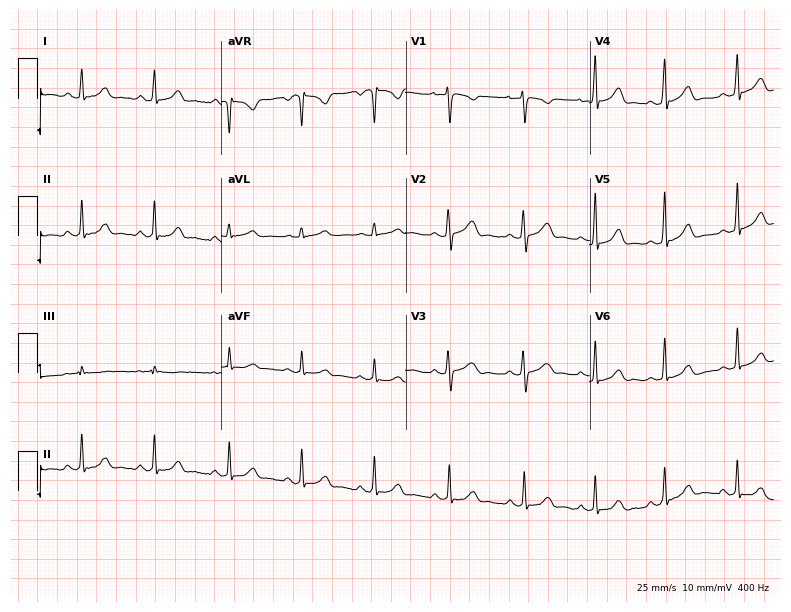
Resting 12-lead electrocardiogram. Patient: a woman, 20 years old. Read as a normal ECG.